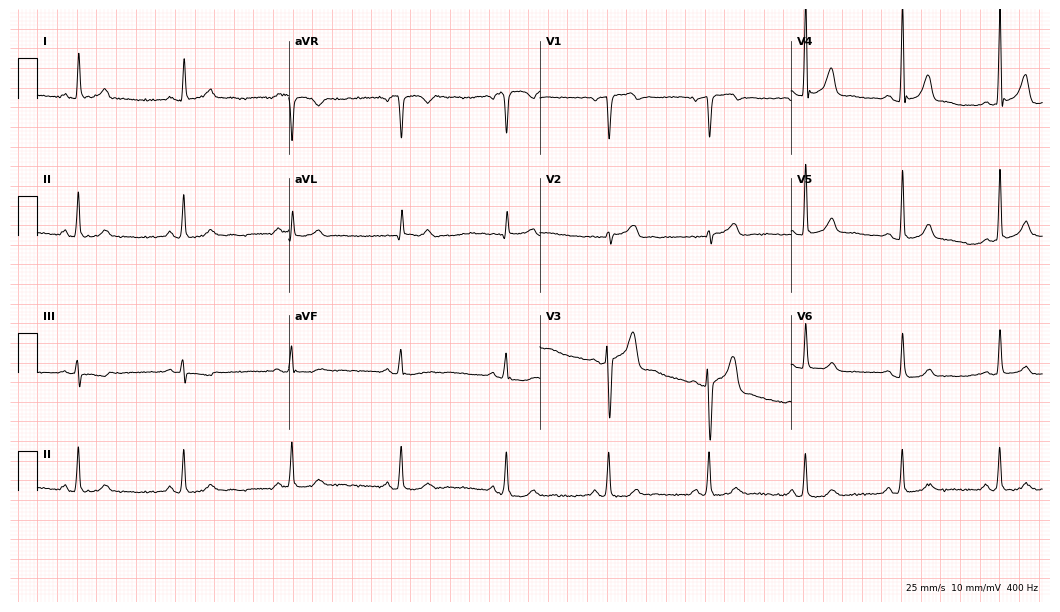
Standard 12-lead ECG recorded from a 66-year-old man. Read as a normal ECG.